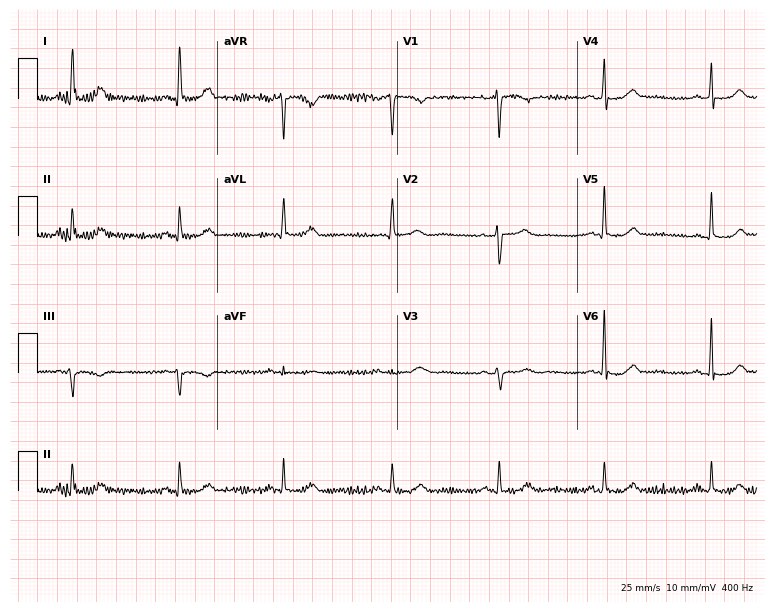
12-lead ECG from a 57-year-old female patient (7.3-second recording at 400 Hz). Recorded interpretation: within normal limits.